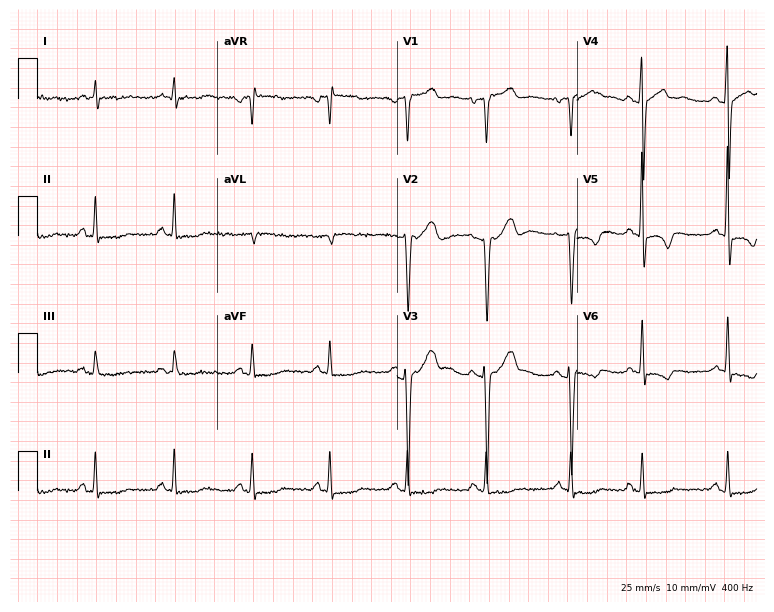
Standard 12-lead ECG recorded from a 66-year-old male. None of these six findings is recorded: first-degree AV block, right bundle branch block (RBBB), left bundle branch block (LBBB), sinus bradycardia, atrial fibrillation (AF), sinus tachycardia.